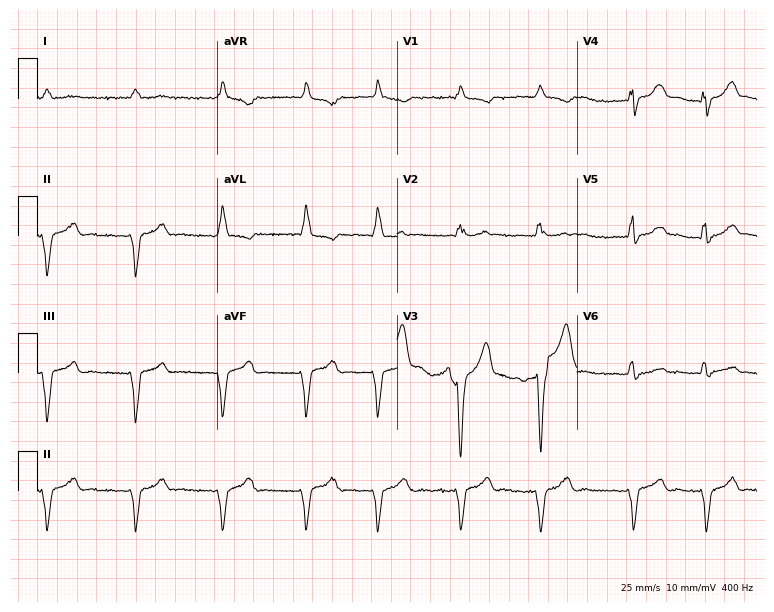
Electrocardiogram, a male, 65 years old. Interpretation includes right bundle branch block, atrial fibrillation.